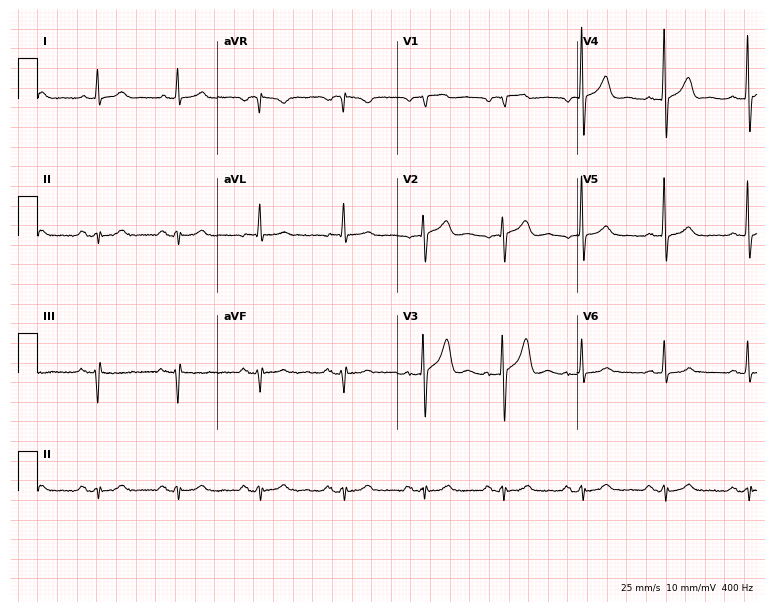
ECG (7.3-second recording at 400 Hz) — a man, 68 years old. Screened for six findings — first-degree AV block, right bundle branch block, left bundle branch block, sinus bradycardia, atrial fibrillation, sinus tachycardia — none is recorded. Only these six findings were labelled.